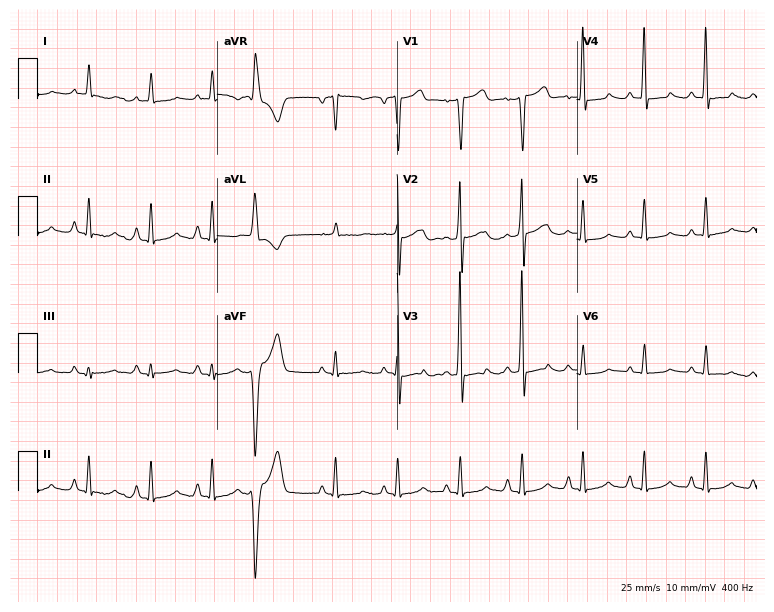
Resting 12-lead electrocardiogram (7.3-second recording at 400 Hz). Patient: a female, 67 years old. None of these six findings is recorded: first-degree AV block, right bundle branch block, left bundle branch block, sinus bradycardia, atrial fibrillation, sinus tachycardia.